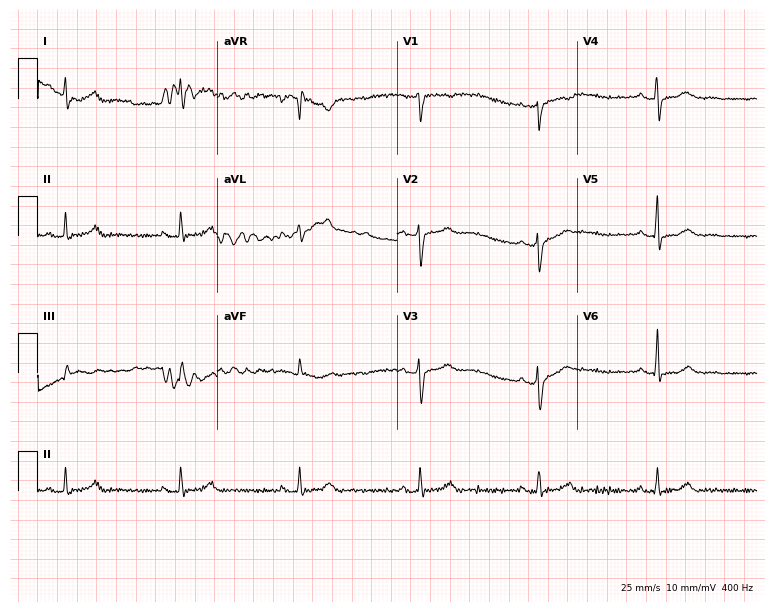
Electrocardiogram, a female, 31 years old. Of the six screened findings (first-degree AV block, right bundle branch block (RBBB), left bundle branch block (LBBB), sinus bradycardia, atrial fibrillation (AF), sinus tachycardia), none is recorded.